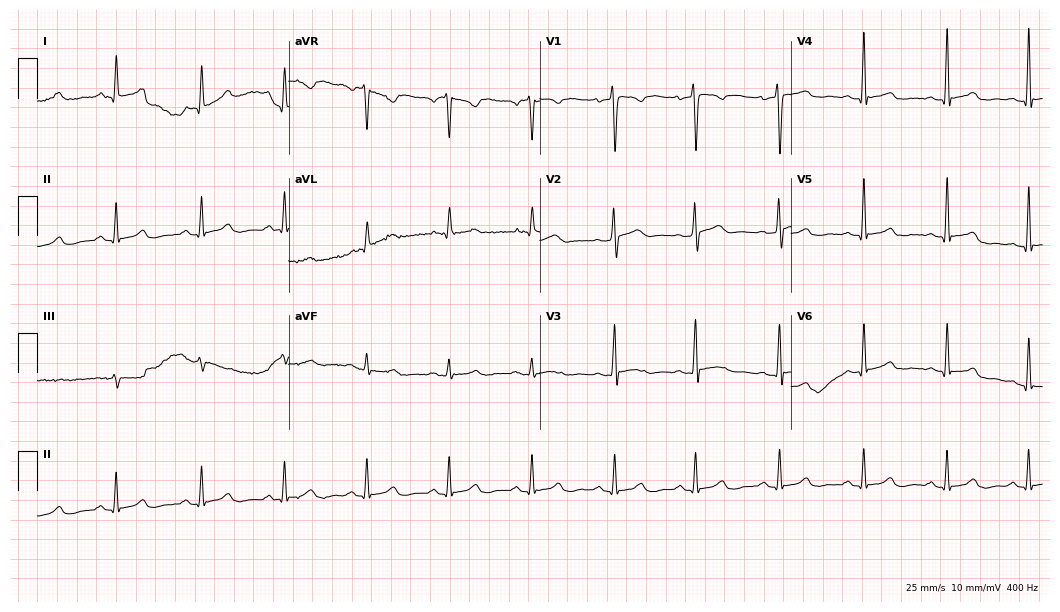
12-lead ECG (10.2-second recording at 400 Hz) from a 43-year-old male. Labelled as a normal ECG.